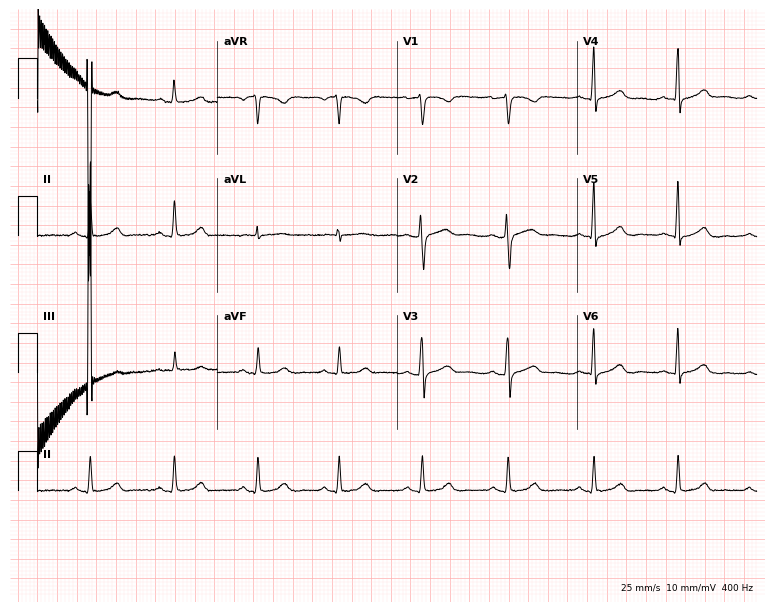
Resting 12-lead electrocardiogram (7.3-second recording at 400 Hz). Patient: a 41-year-old woman. Read as a normal ECG.